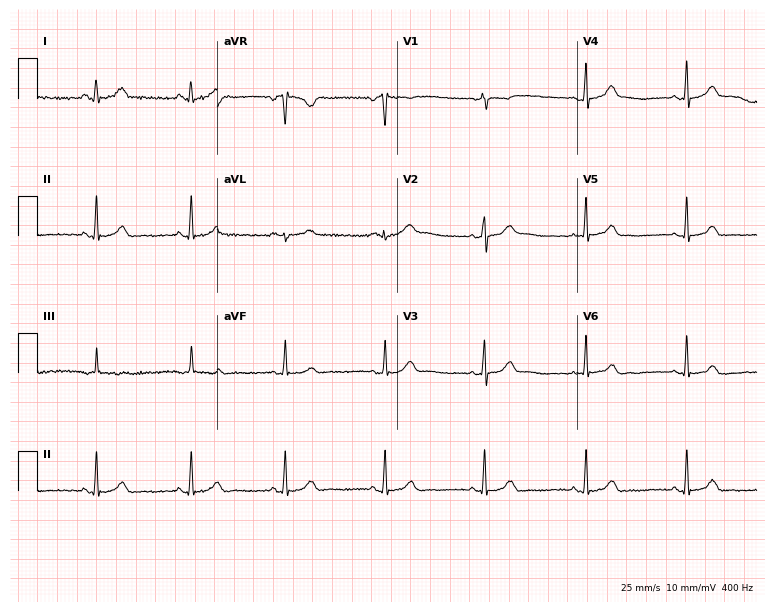
Electrocardiogram (7.3-second recording at 400 Hz), a 27-year-old female patient. Overall reading on record: normal ECG.